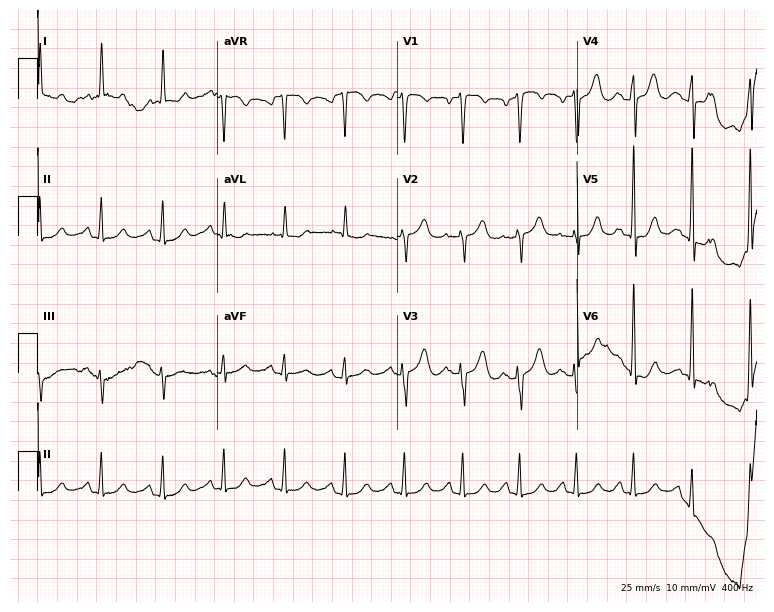
12-lead ECG from a man, 68 years old. Screened for six findings — first-degree AV block, right bundle branch block (RBBB), left bundle branch block (LBBB), sinus bradycardia, atrial fibrillation (AF), sinus tachycardia — none is recorded.